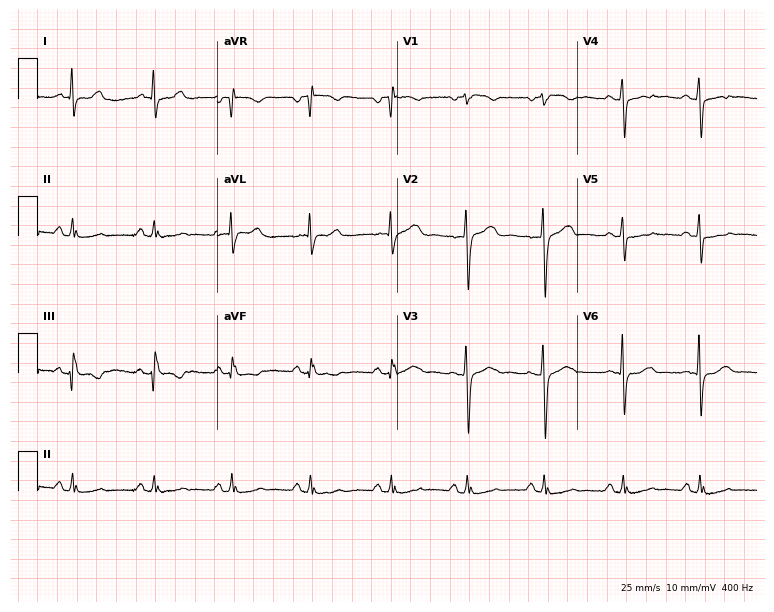
12-lead ECG from a woman, 51 years old (7.3-second recording at 400 Hz). No first-degree AV block, right bundle branch block (RBBB), left bundle branch block (LBBB), sinus bradycardia, atrial fibrillation (AF) or sinus tachycardia recorded for this tracing.